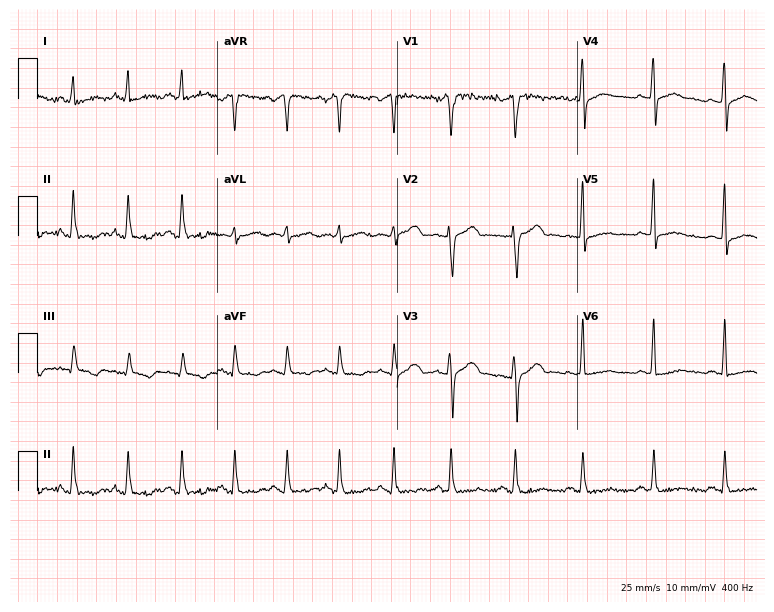
ECG (7.3-second recording at 400 Hz) — a man, 38 years old. Labelled as a normal ECG.